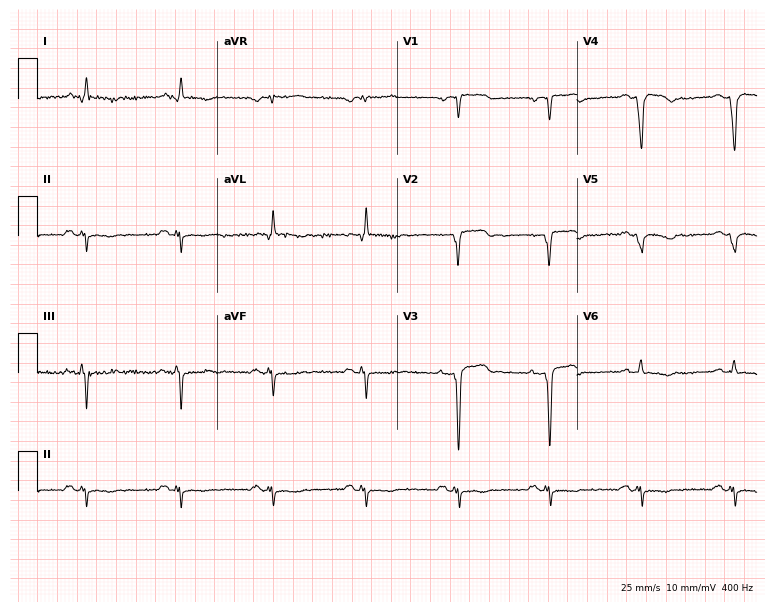
ECG (7.3-second recording at 400 Hz) — a male patient, 69 years old. Screened for six findings — first-degree AV block, right bundle branch block (RBBB), left bundle branch block (LBBB), sinus bradycardia, atrial fibrillation (AF), sinus tachycardia — none is recorded. Other findings, if any, are not listed.